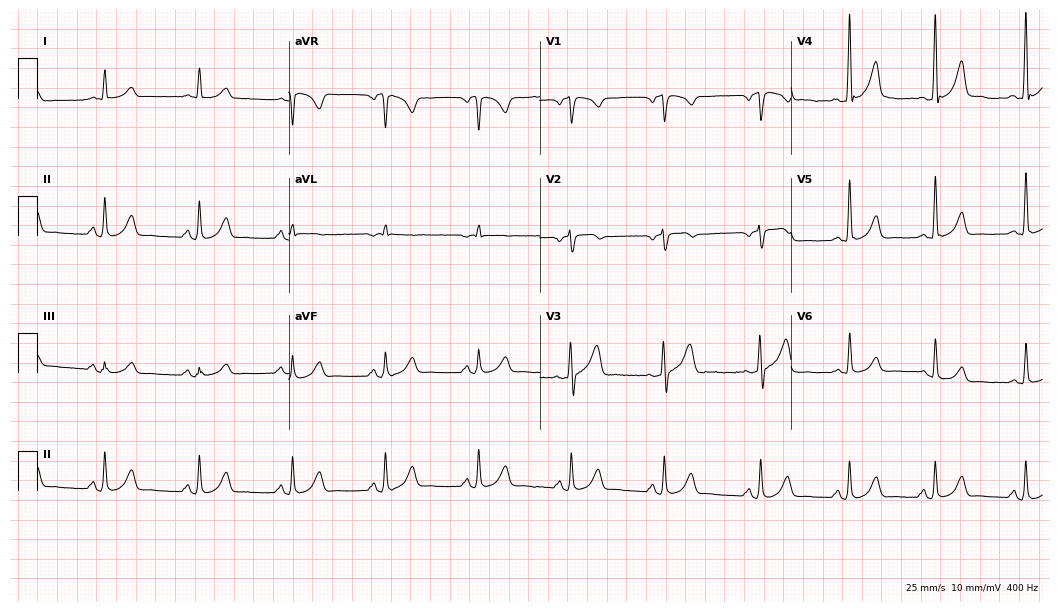
ECG (10.2-second recording at 400 Hz) — a man, 52 years old. Screened for six findings — first-degree AV block, right bundle branch block, left bundle branch block, sinus bradycardia, atrial fibrillation, sinus tachycardia — none is recorded. Other findings, if any, are not listed.